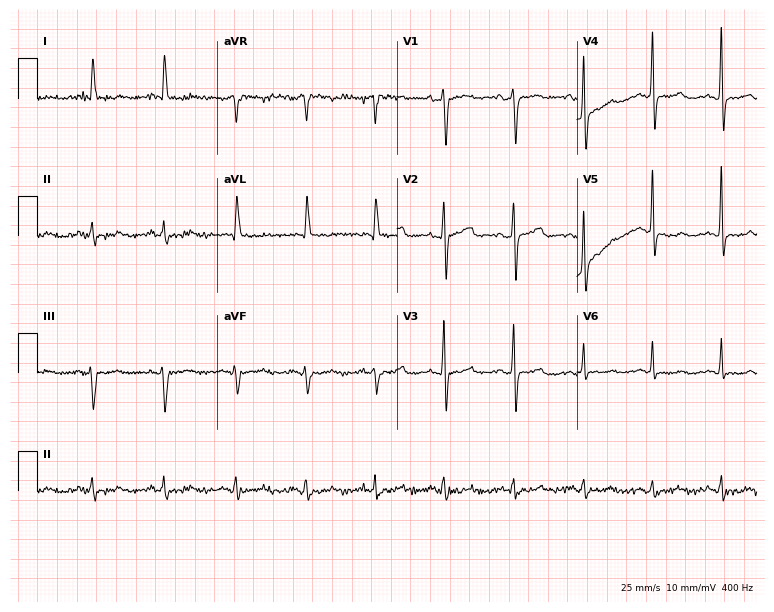
Resting 12-lead electrocardiogram (7.3-second recording at 400 Hz). Patient: a female, 68 years old. None of these six findings is recorded: first-degree AV block, right bundle branch block, left bundle branch block, sinus bradycardia, atrial fibrillation, sinus tachycardia. Findings outside these six are not listed.